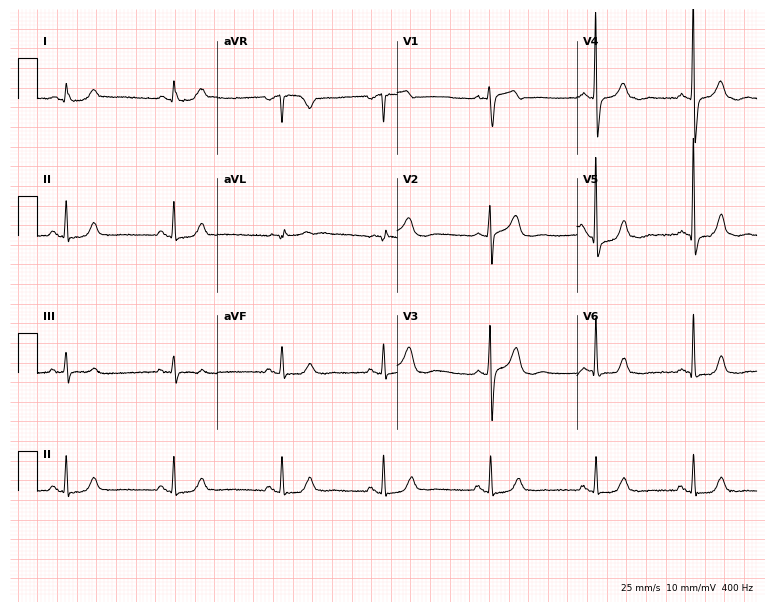
Resting 12-lead electrocardiogram. Patient: a 65-year-old female. None of these six findings is recorded: first-degree AV block, right bundle branch block, left bundle branch block, sinus bradycardia, atrial fibrillation, sinus tachycardia. Only these six findings were labelled.